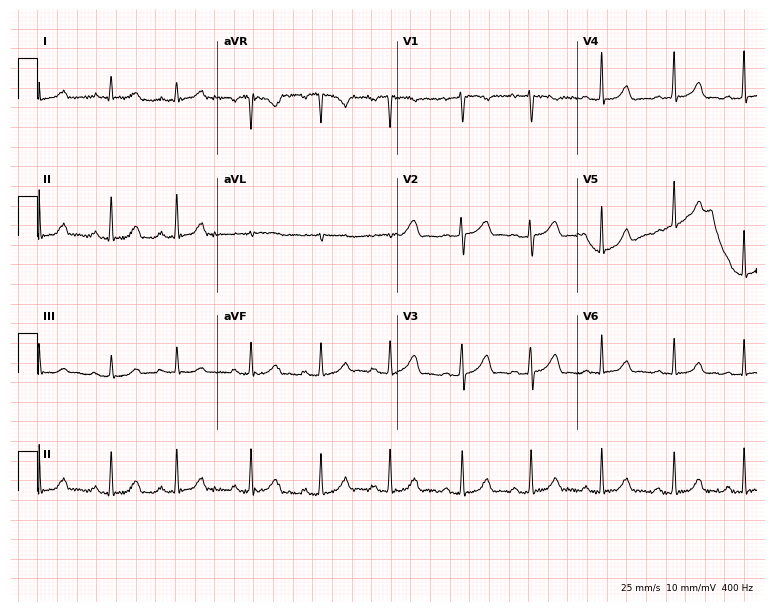
Resting 12-lead electrocardiogram. Patient: a female, 28 years old. Read as a normal ECG.